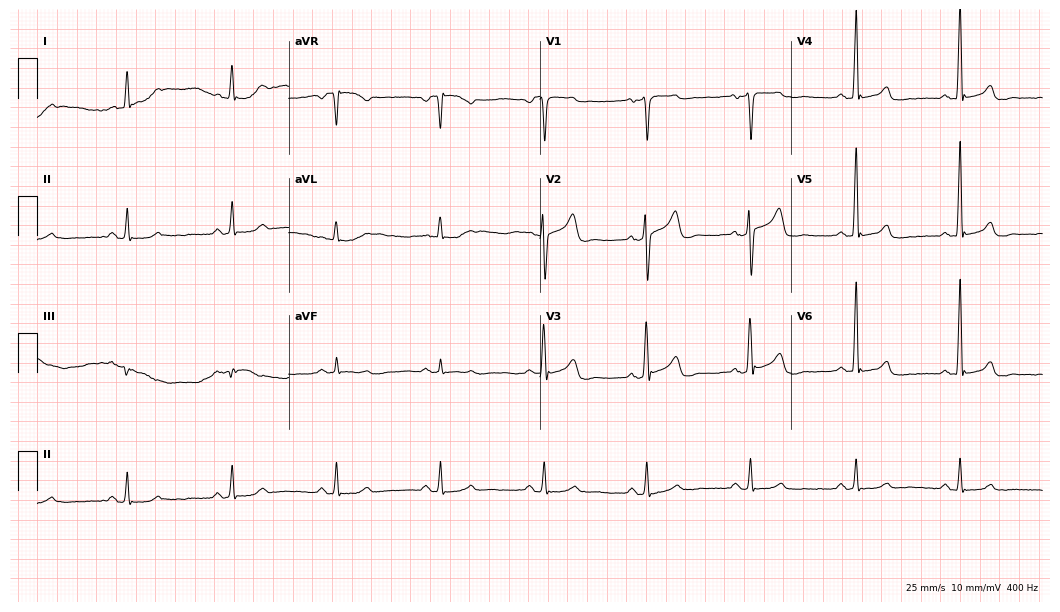
ECG — a 76-year-old man. Screened for six findings — first-degree AV block, right bundle branch block (RBBB), left bundle branch block (LBBB), sinus bradycardia, atrial fibrillation (AF), sinus tachycardia — none is recorded. Other findings, if any, are not listed.